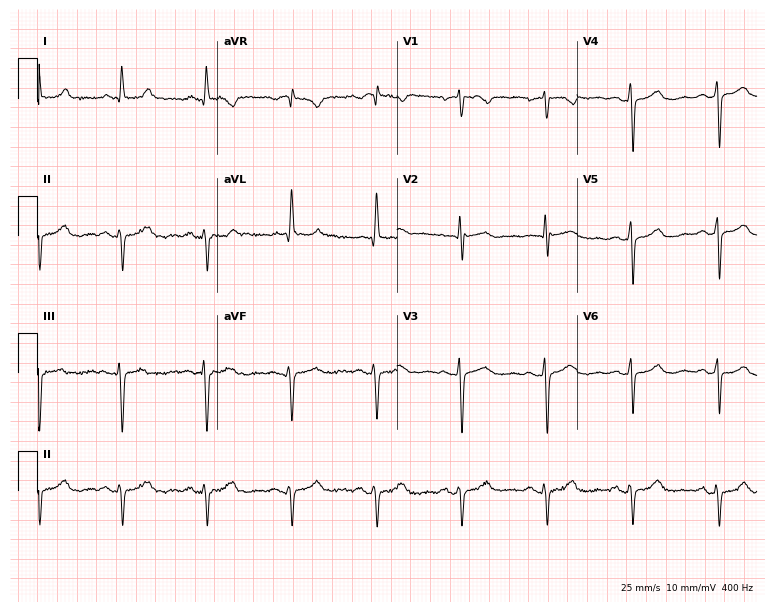
ECG — a female patient, 68 years old. Screened for six findings — first-degree AV block, right bundle branch block, left bundle branch block, sinus bradycardia, atrial fibrillation, sinus tachycardia — none is recorded.